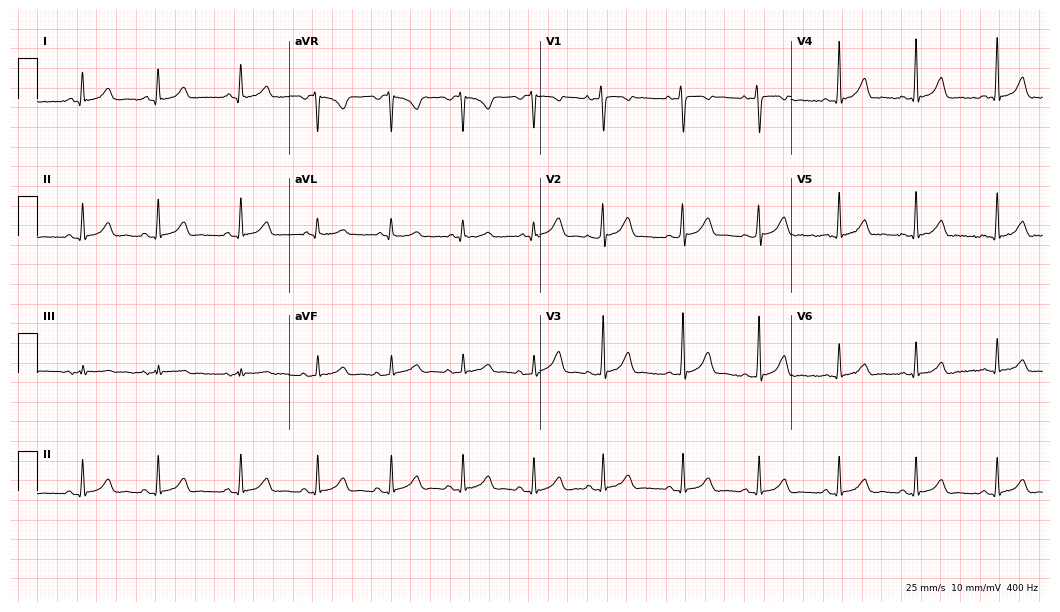
12-lead ECG from an 18-year-old female. No first-degree AV block, right bundle branch block, left bundle branch block, sinus bradycardia, atrial fibrillation or sinus tachycardia recorded for this tracing. Only these six findings were labelled.